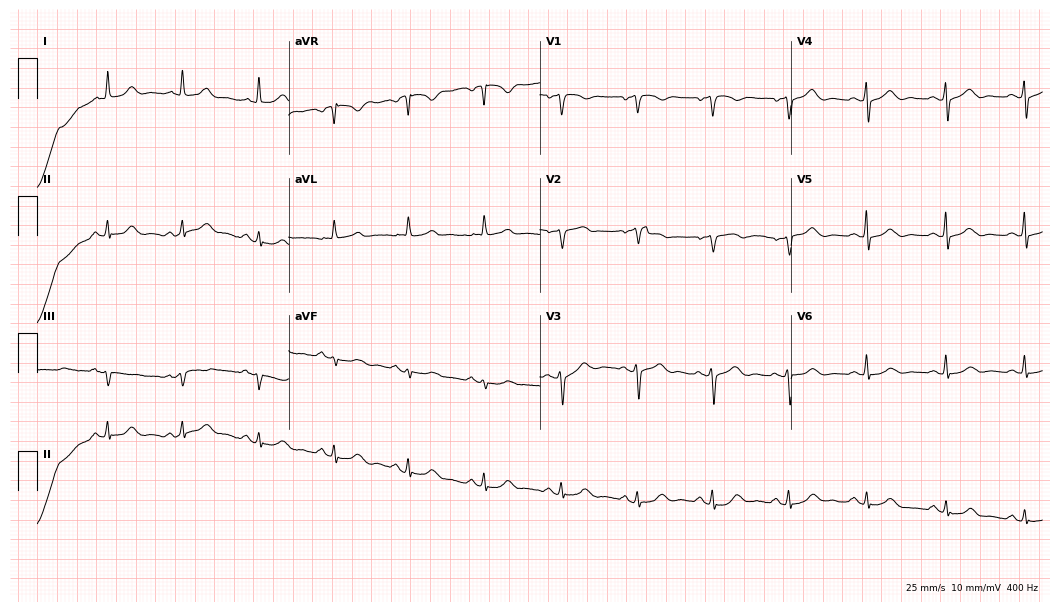
ECG — a female, 67 years old. Screened for six findings — first-degree AV block, right bundle branch block, left bundle branch block, sinus bradycardia, atrial fibrillation, sinus tachycardia — none is recorded. Findings outside these six are not listed.